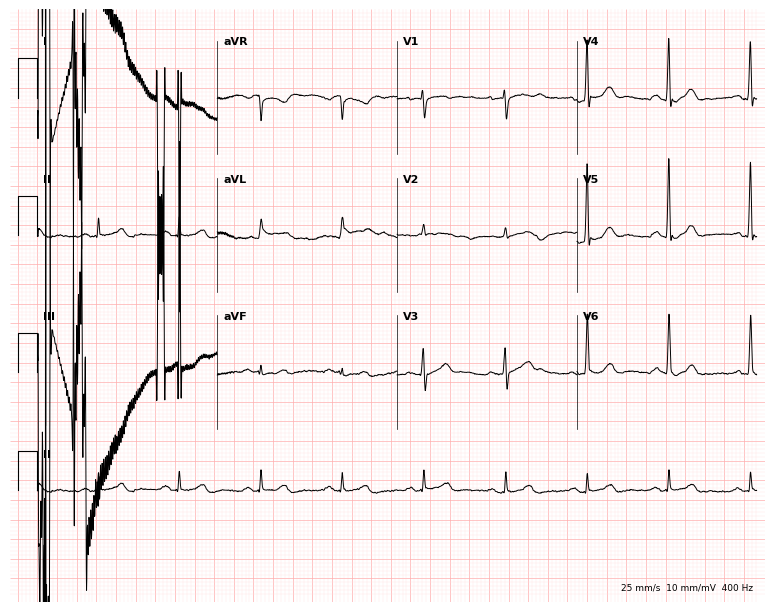
Electrocardiogram (7.3-second recording at 400 Hz), a 75-year-old male patient. Of the six screened findings (first-degree AV block, right bundle branch block, left bundle branch block, sinus bradycardia, atrial fibrillation, sinus tachycardia), none is recorded.